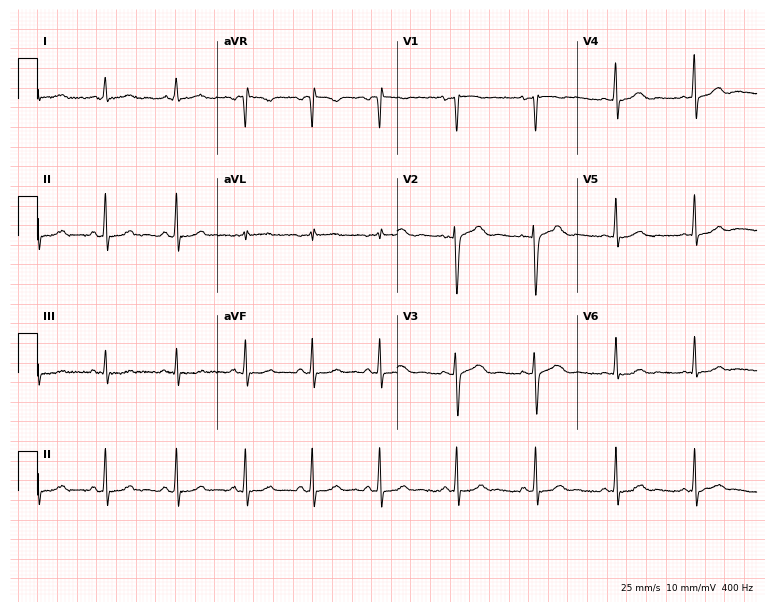
12-lead ECG from a female, 24 years old. Labelled as a normal ECG.